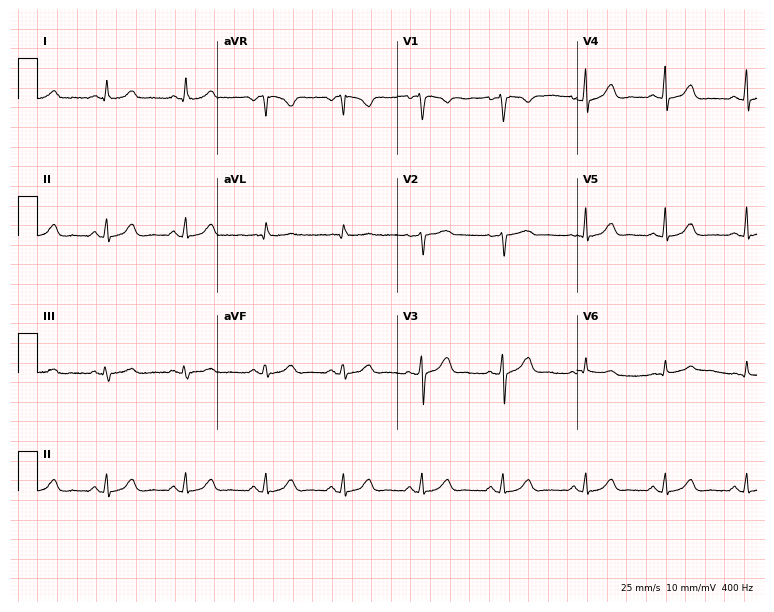
ECG (7.3-second recording at 400 Hz) — a 50-year-old female. Labelled as a normal ECG.